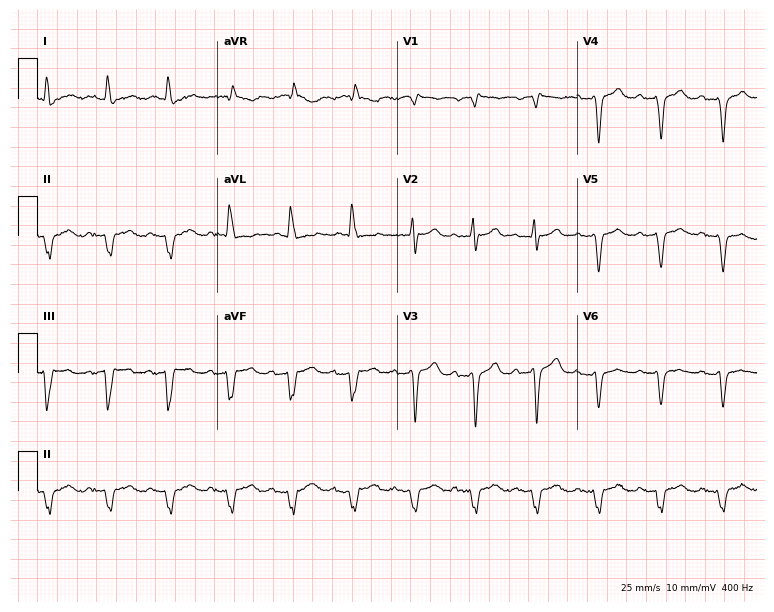
Electrocardiogram (7.3-second recording at 400 Hz), a male, 70 years old. Interpretation includes right bundle branch block.